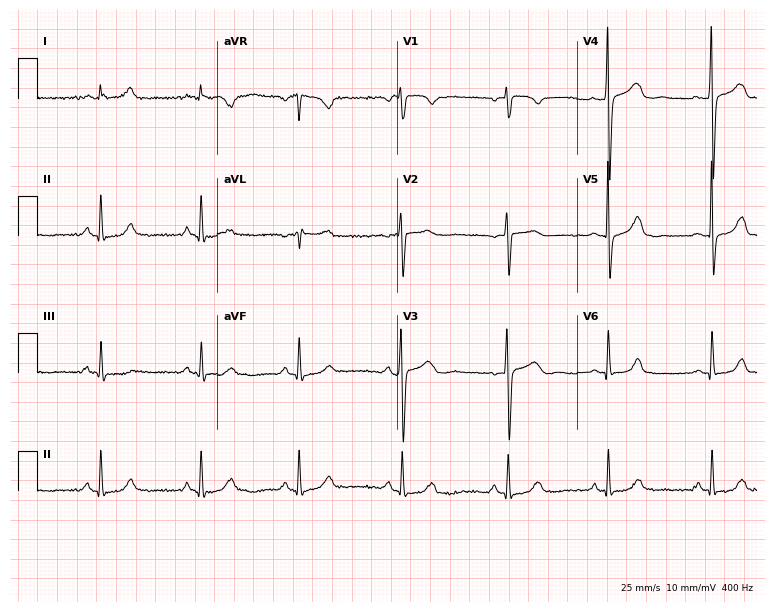
Standard 12-lead ECG recorded from a 40-year-old female patient (7.3-second recording at 400 Hz). Read as a normal ECG.